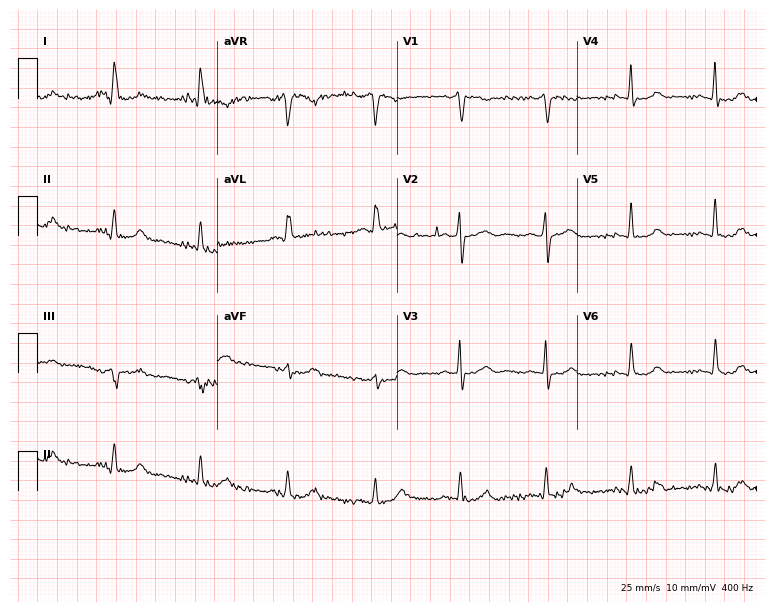
ECG (7.3-second recording at 400 Hz) — a woman, 70 years old. Screened for six findings — first-degree AV block, right bundle branch block (RBBB), left bundle branch block (LBBB), sinus bradycardia, atrial fibrillation (AF), sinus tachycardia — none is recorded.